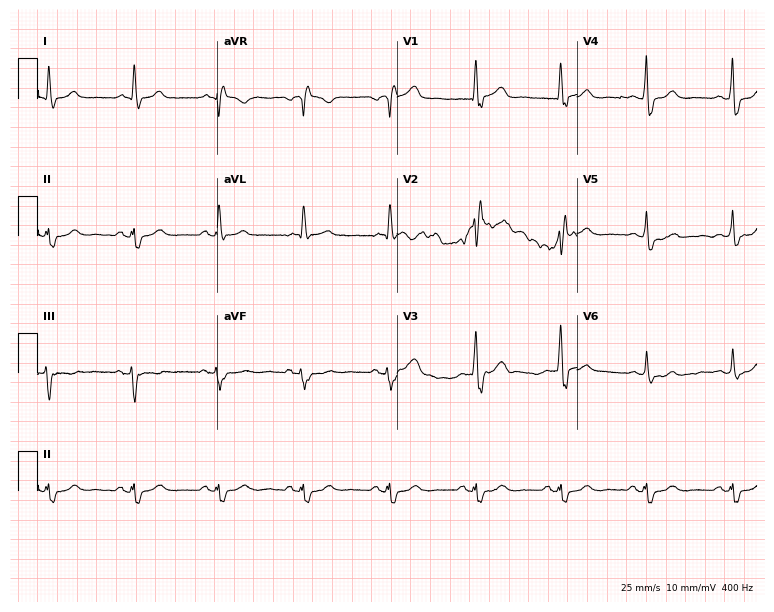
Standard 12-lead ECG recorded from a 63-year-old male (7.3-second recording at 400 Hz). The tracing shows right bundle branch block.